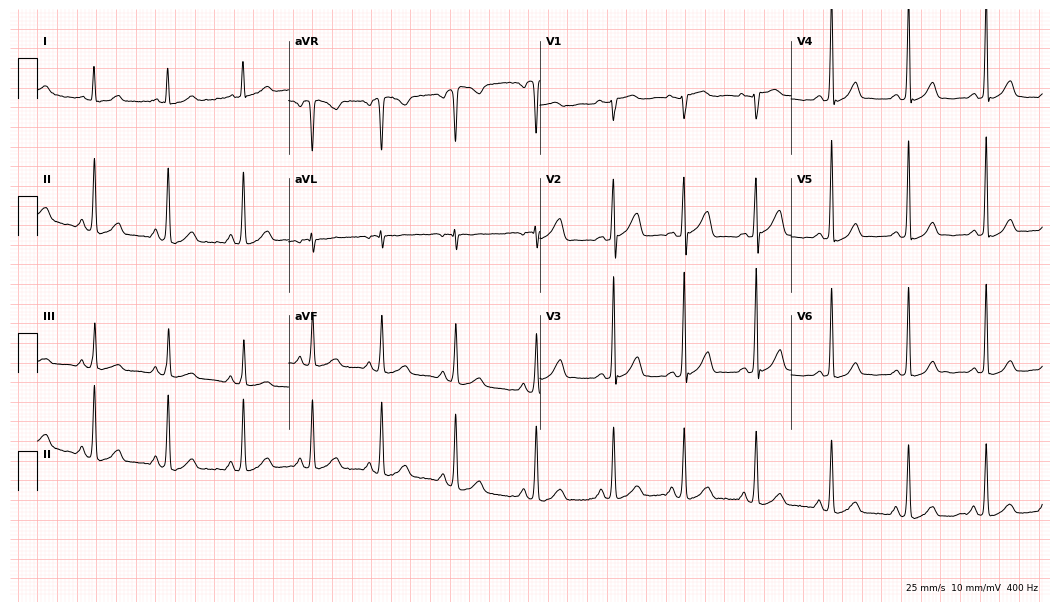
Electrocardiogram, a 32-year-old female. Of the six screened findings (first-degree AV block, right bundle branch block, left bundle branch block, sinus bradycardia, atrial fibrillation, sinus tachycardia), none is recorded.